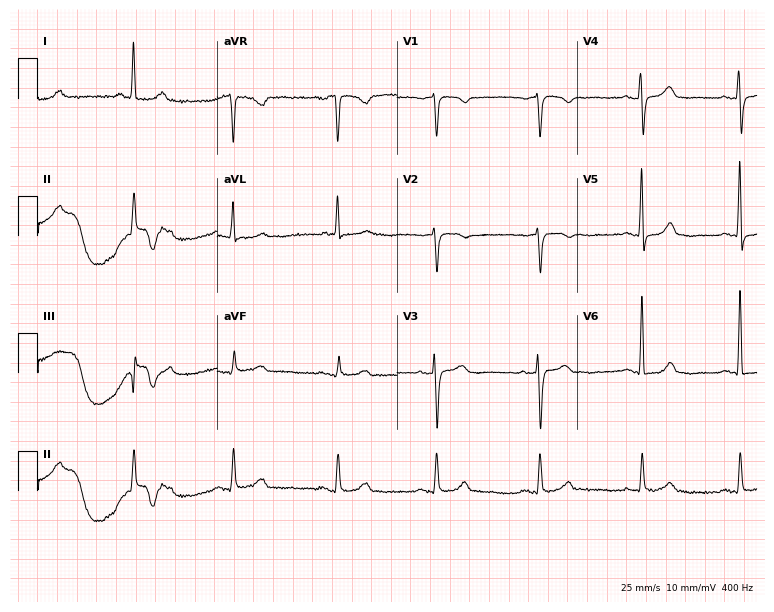
12-lead ECG from a female, 64 years old (7.3-second recording at 400 Hz). Recorded interpretation: within normal limits.